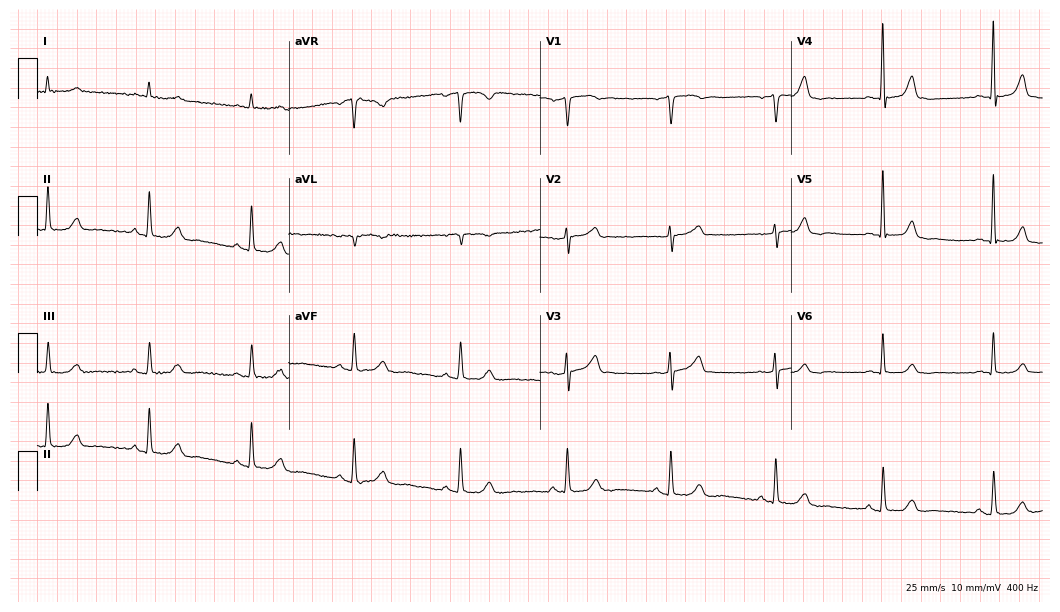
12-lead ECG from a 74-year-old man. No first-degree AV block, right bundle branch block (RBBB), left bundle branch block (LBBB), sinus bradycardia, atrial fibrillation (AF) or sinus tachycardia recorded for this tracing.